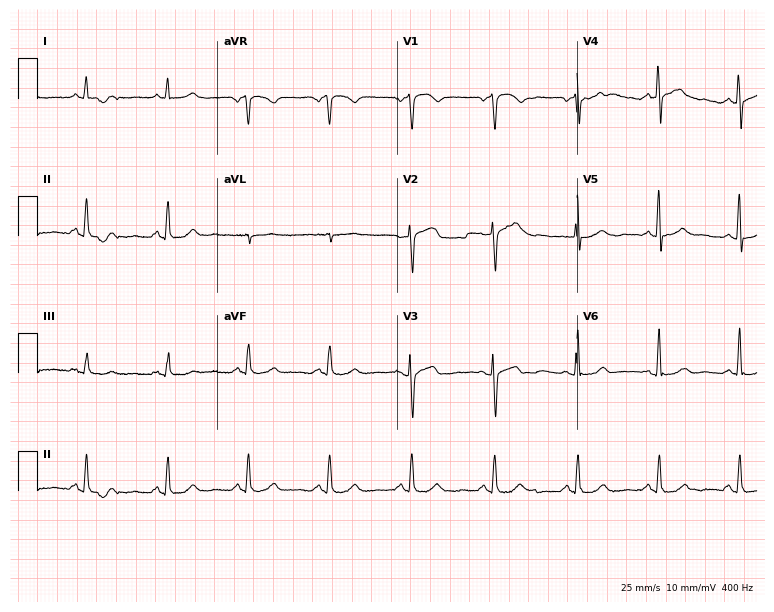
12-lead ECG from a female, 66 years old. Screened for six findings — first-degree AV block, right bundle branch block, left bundle branch block, sinus bradycardia, atrial fibrillation, sinus tachycardia — none is recorded. Only these six findings were labelled.